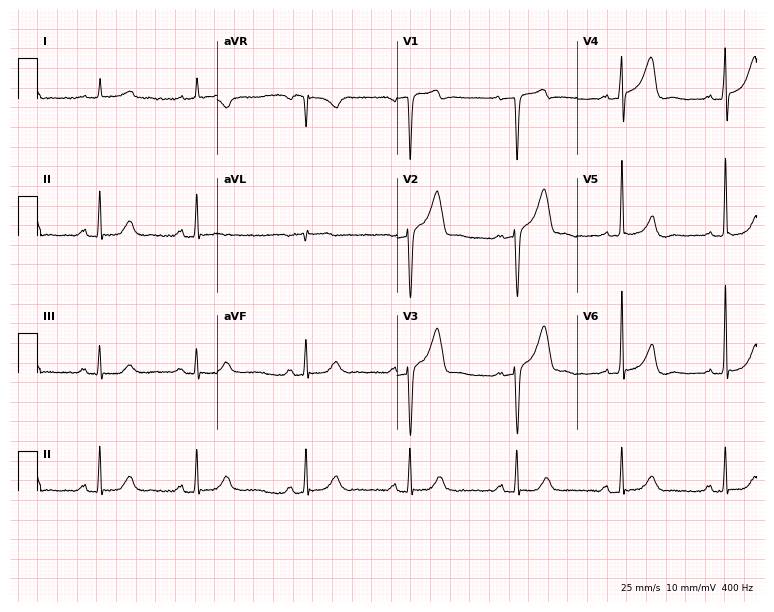
12-lead ECG from a male patient, 55 years old. Screened for six findings — first-degree AV block, right bundle branch block, left bundle branch block, sinus bradycardia, atrial fibrillation, sinus tachycardia — none is recorded. Only these six findings were labelled.